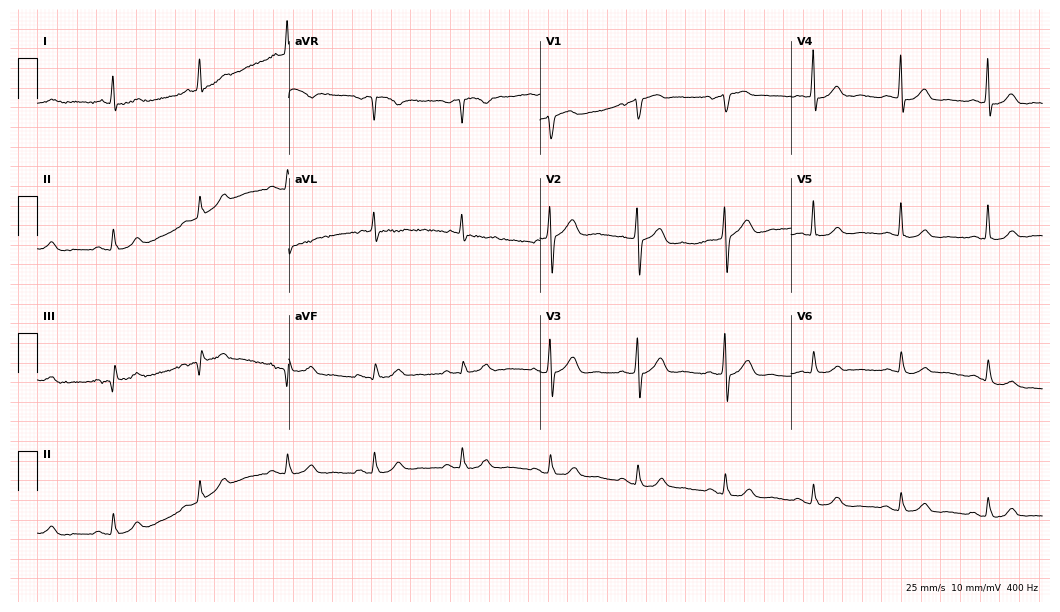
Standard 12-lead ECG recorded from a 74-year-old man (10.2-second recording at 400 Hz). Read as a normal ECG.